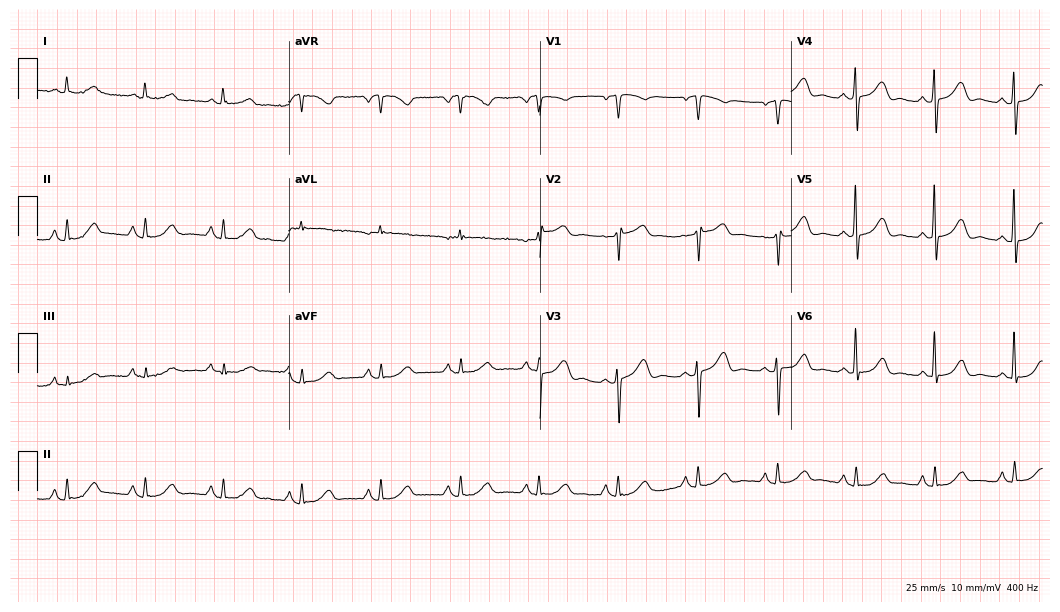
12-lead ECG from a female patient, 73 years old. Screened for six findings — first-degree AV block, right bundle branch block (RBBB), left bundle branch block (LBBB), sinus bradycardia, atrial fibrillation (AF), sinus tachycardia — none is recorded. Findings outside these six are not listed.